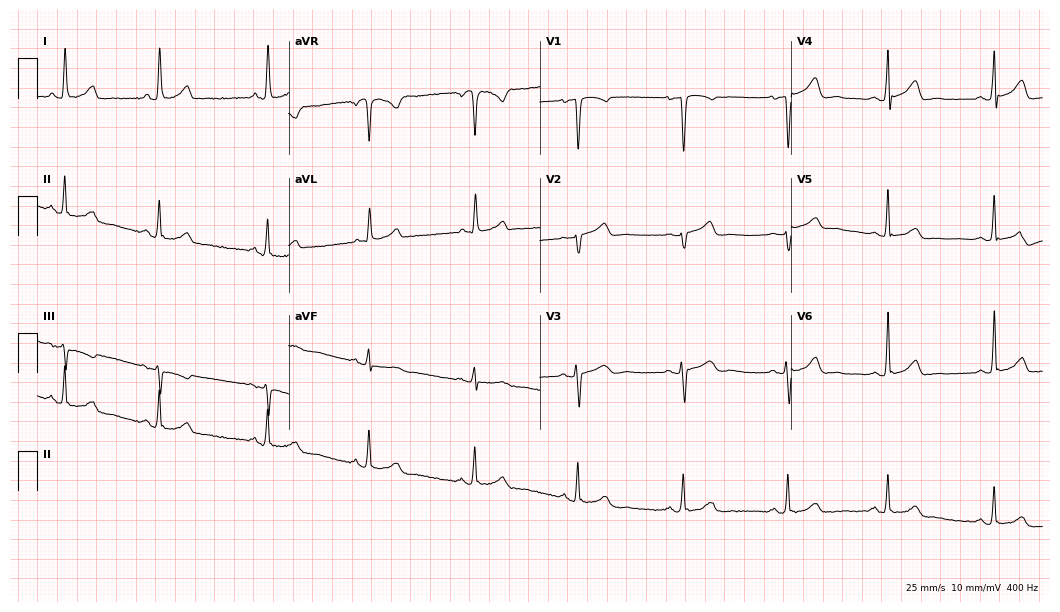
Standard 12-lead ECG recorded from a 63-year-old female patient. Read as a normal ECG.